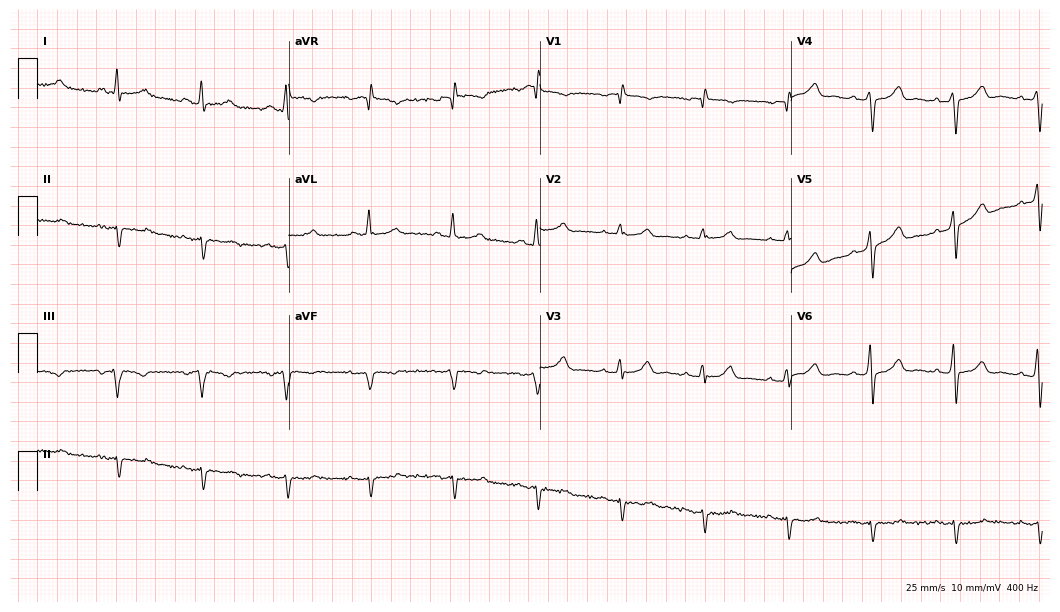
12-lead ECG from a man, 59 years old. Screened for six findings — first-degree AV block, right bundle branch block, left bundle branch block, sinus bradycardia, atrial fibrillation, sinus tachycardia — none is recorded. Findings outside these six are not listed.